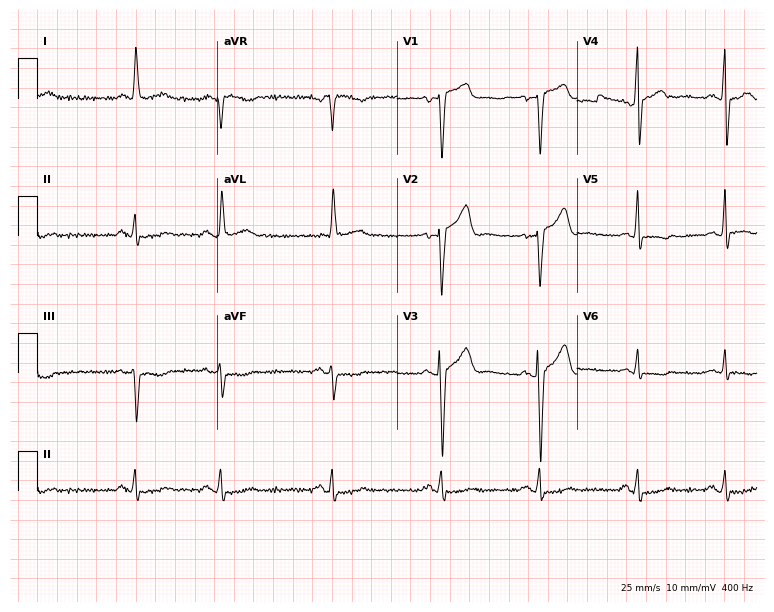
12-lead ECG (7.3-second recording at 400 Hz) from a male, 76 years old. Screened for six findings — first-degree AV block, right bundle branch block, left bundle branch block, sinus bradycardia, atrial fibrillation, sinus tachycardia — none is recorded. Only these six findings were labelled.